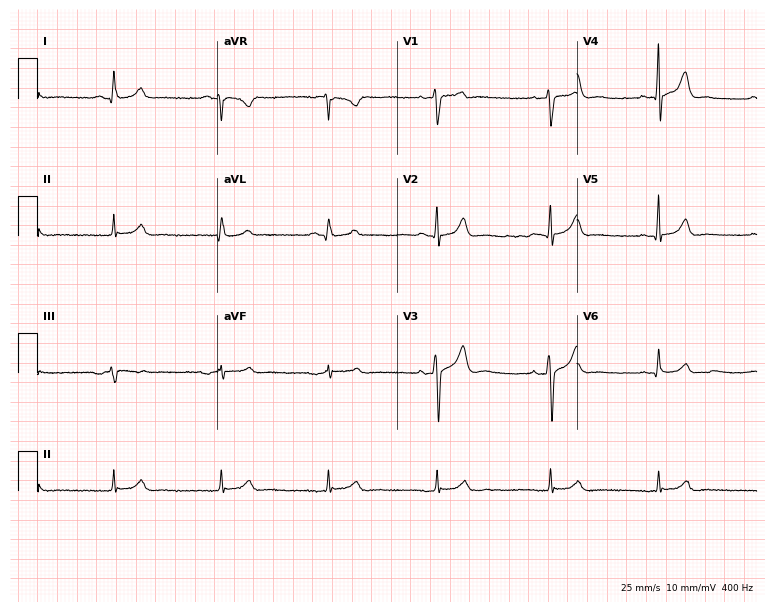
Electrocardiogram (7.3-second recording at 400 Hz), a 72-year-old man. Overall reading on record: normal ECG.